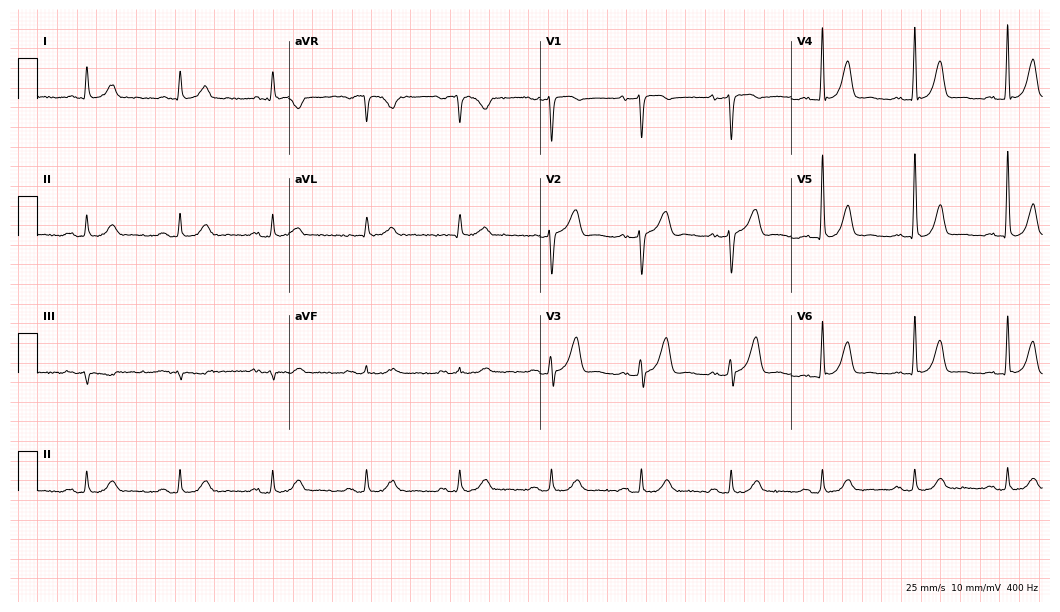
Resting 12-lead electrocardiogram. Patient: a male, 67 years old. Read as a normal ECG.